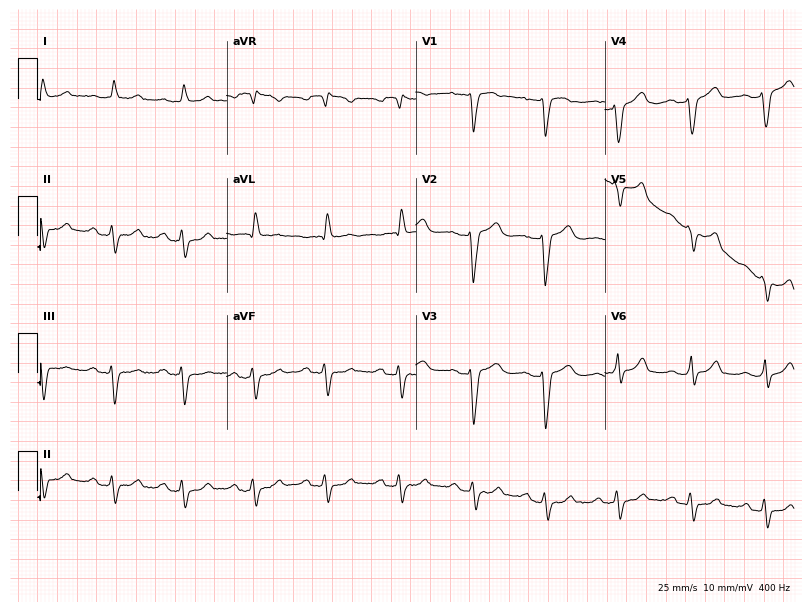
ECG — a female, 65 years old. Screened for six findings — first-degree AV block, right bundle branch block, left bundle branch block, sinus bradycardia, atrial fibrillation, sinus tachycardia — none is recorded. Only these six findings were labelled.